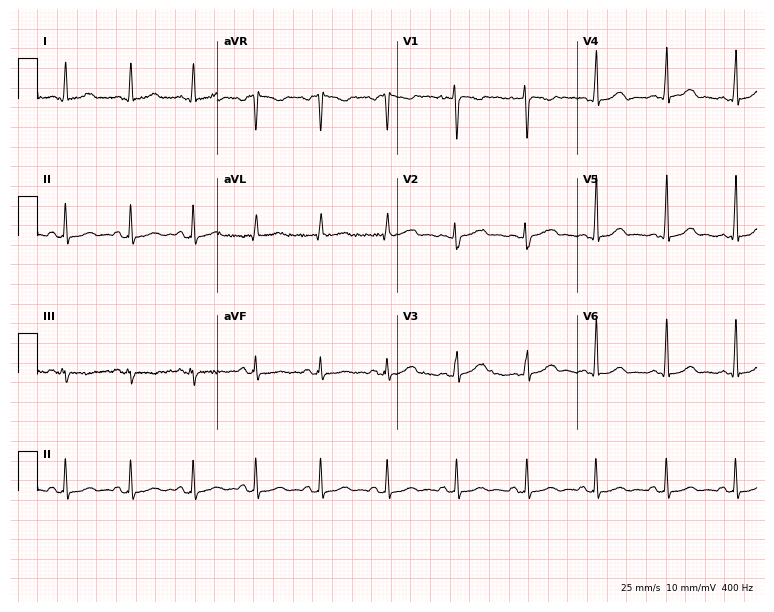
12-lead ECG (7.3-second recording at 400 Hz) from an 18-year-old female. Labelled as a normal ECG.